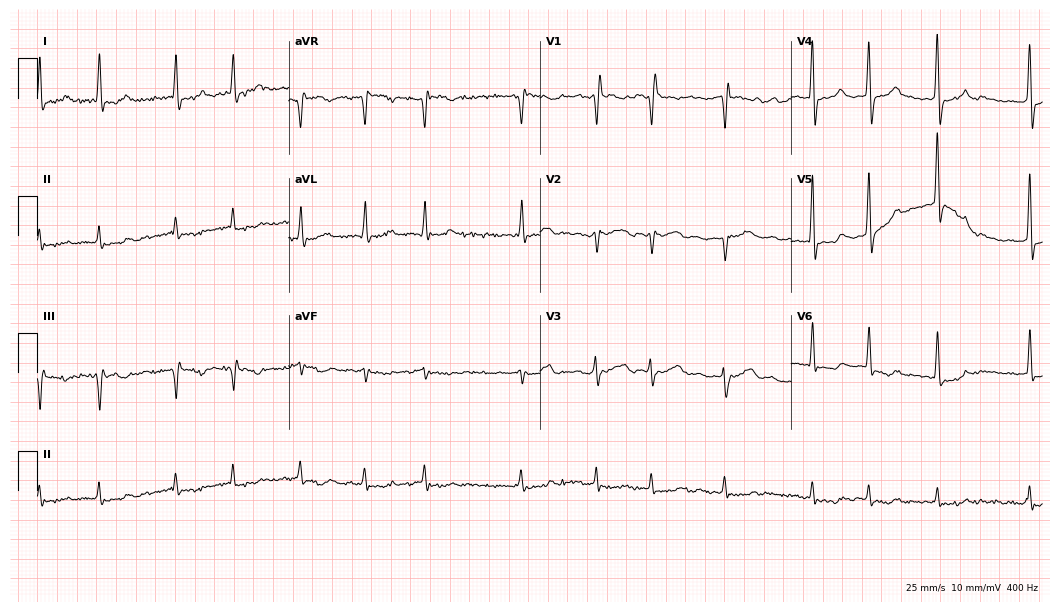
Electrocardiogram, a man, 74 years old. Interpretation includes atrial fibrillation.